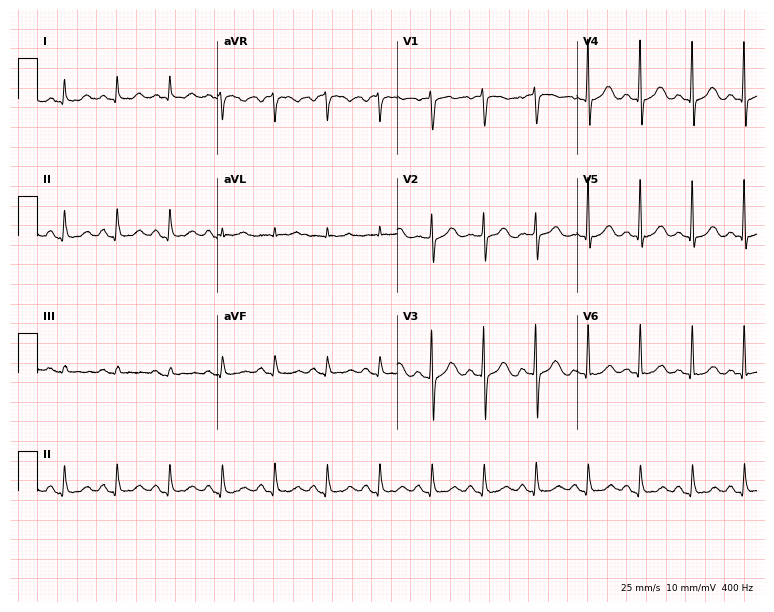
12-lead ECG from a female, 68 years old (7.3-second recording at 400 Hz). Shows sinus tachycardia (a sinus rate of 100 beats per minute or more).